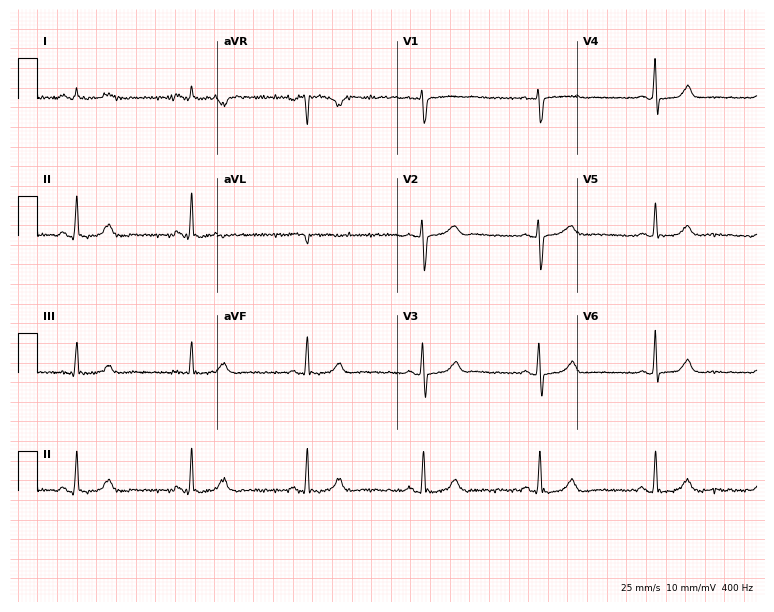
Electrocardiogram (7.3-second recording at 400 Hz), a female, 48 years old. Overall reading on record: normal ECG.